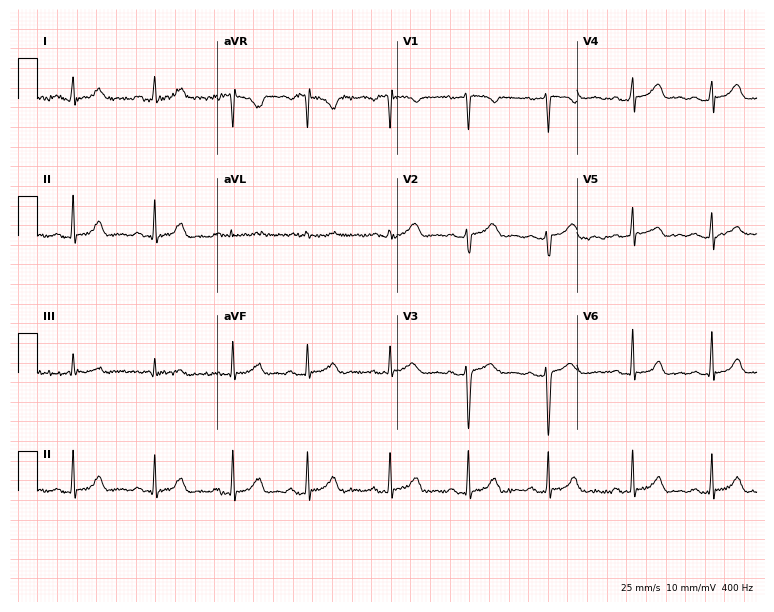
12-lead ECG from a female patient, 27 years old. Labelled as a normal ECG.